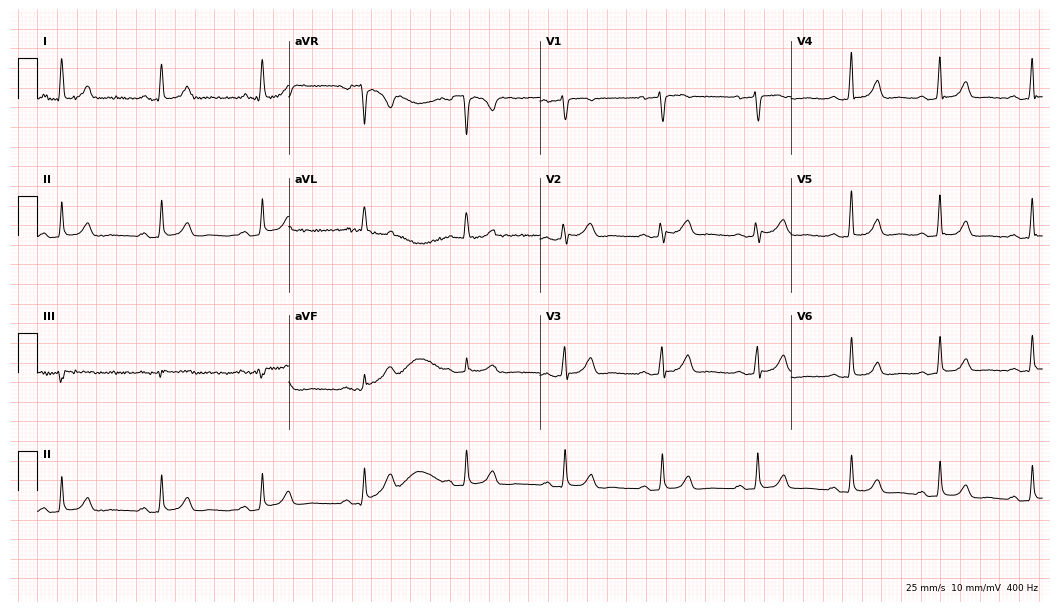
12-lead ECG from a female, 58 years old. Labelled as a normal ECG.